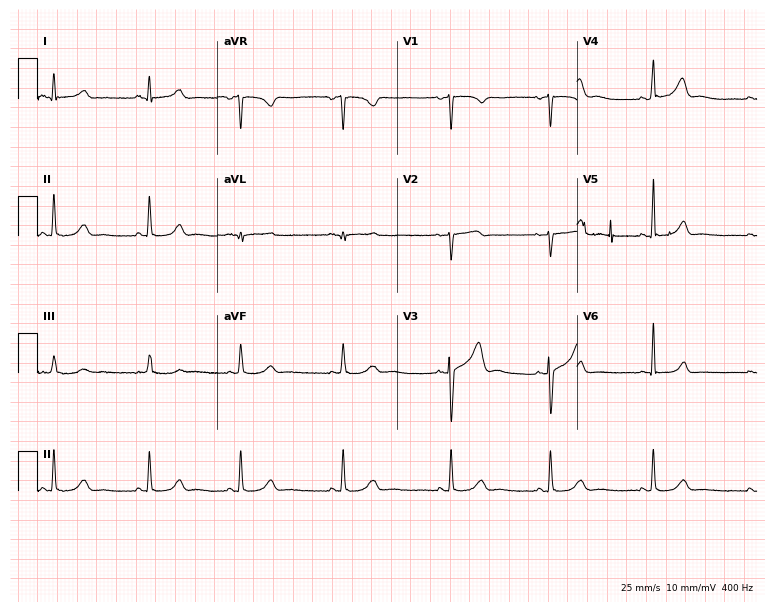
12-lead ECG (7.3-second recording at 400 Hz) from a 21-year-old female patient. Labelled as a normal ECG.